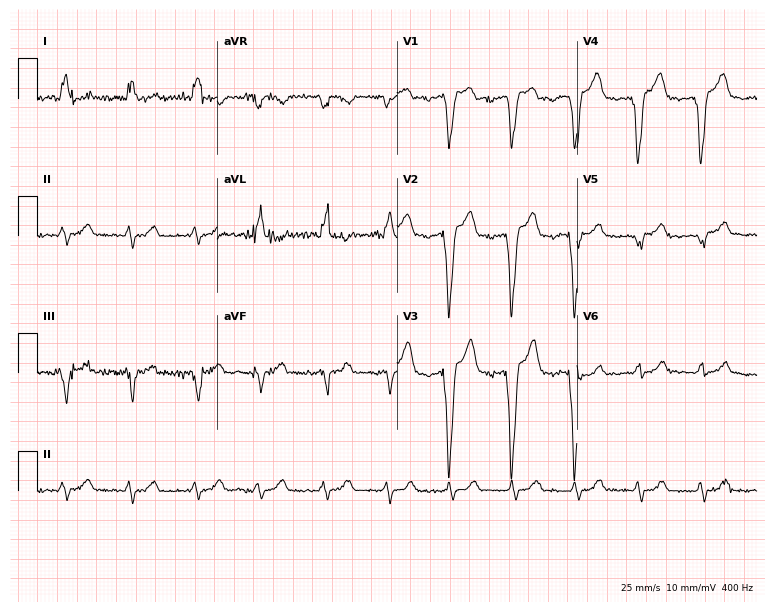
ECG — a female patient, 76 years old. Screened for six findings — first-degree AV block, right bundle branch block (RBBB), left bundle branch block (LBBB), sinus bradycardia, atrial fibrillation (AF), sinus tachycardia — none is recorded.